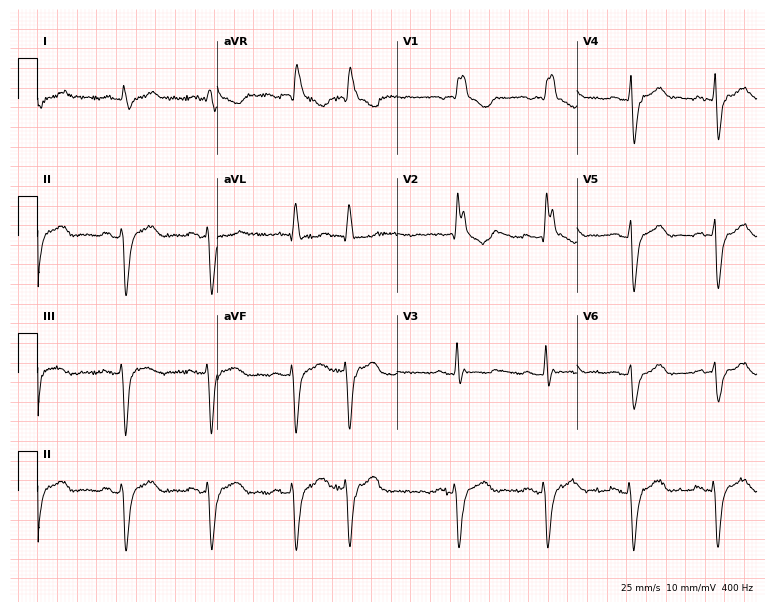
12-lead ECG from an 82-year-old man. Shows right bundle branch block.